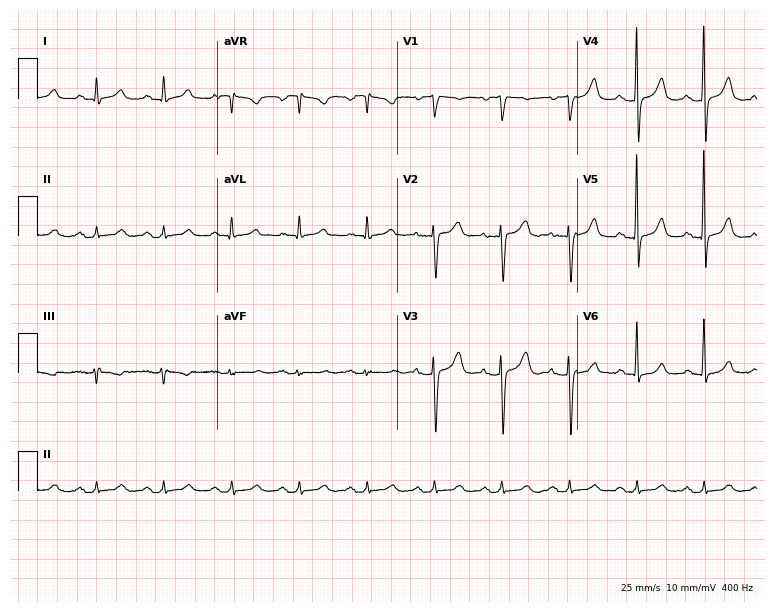
ECG — a female patient, 83 years old. Labelled as a normal ECG.